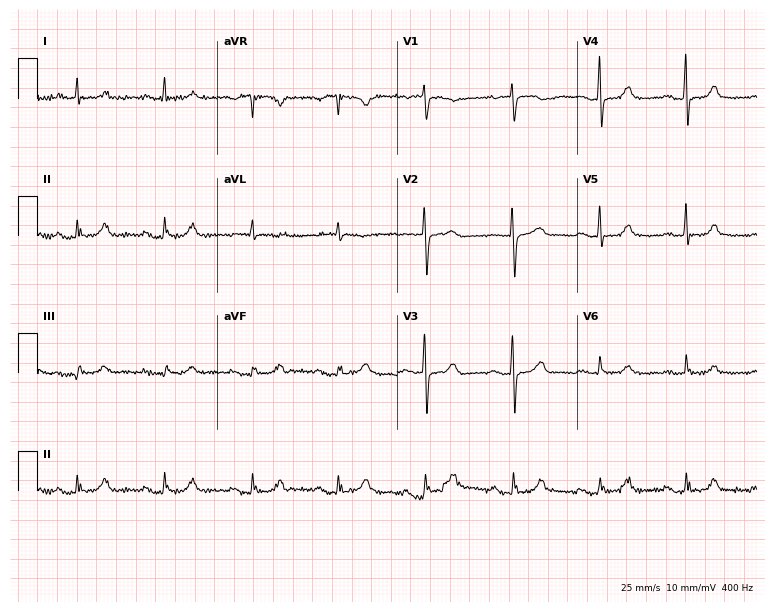
Resting 12-lead electrocardiogram. Patient: a 77-year-old woman. The tracing shows first-degree AV block.